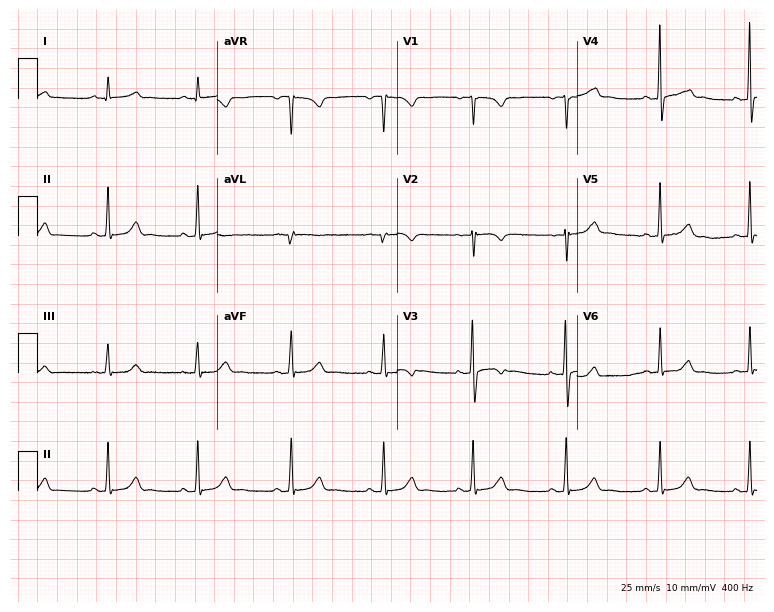
12-lead ECG from a female patient, 47 years old. Recorded interpretation: within normal limits.